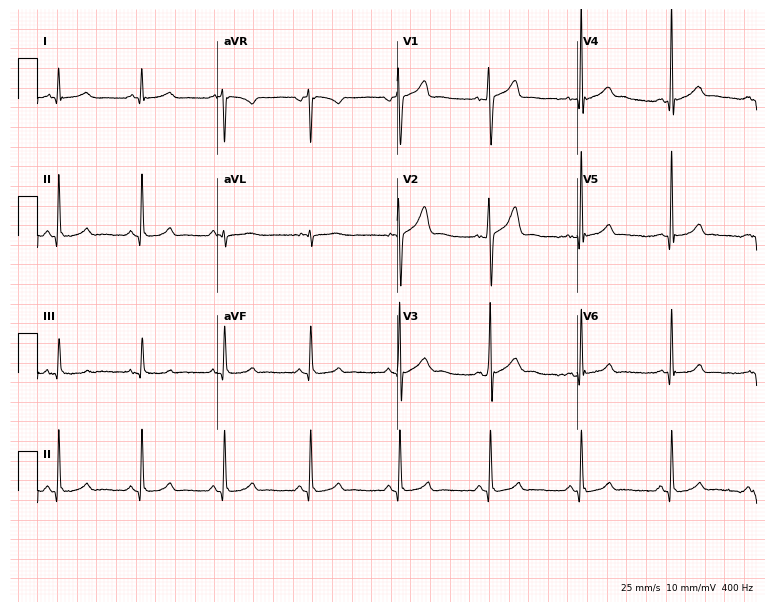
Resting 12-lead electrocardiogram (7.3-second recording at 400 Hz). Patient: a male, 18 years old. Read as a normal ECG.